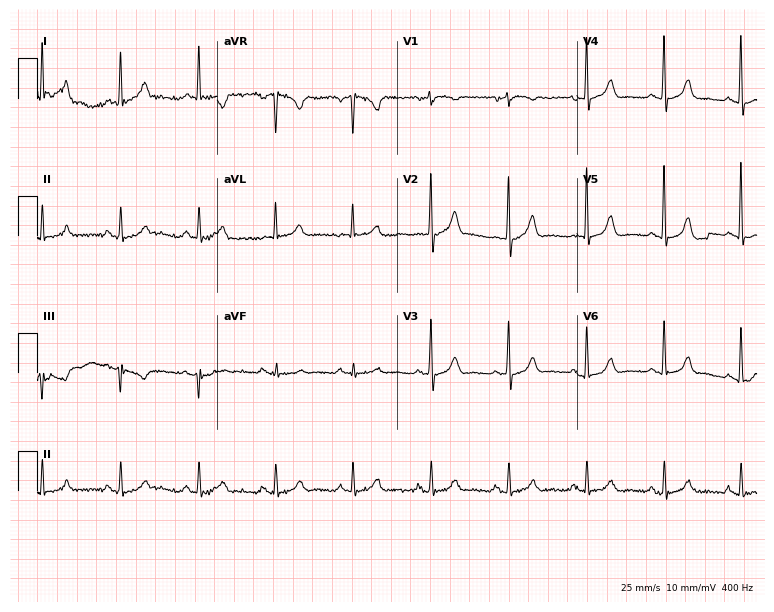
12-lead ECG from a female, 73 years old. Recorded interpretation: within normal limits.